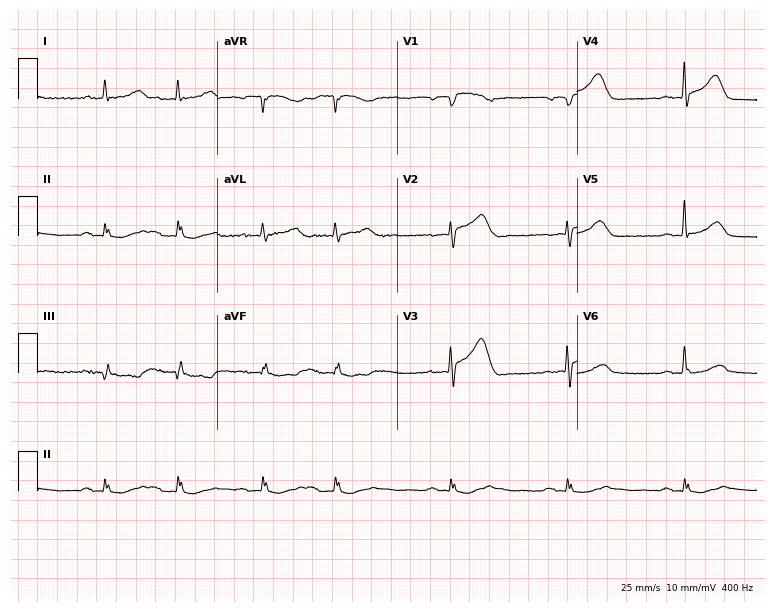
Resting 12-lead electrocardiogram. Patient: a male, 74 years old. Read as a normal ECG.